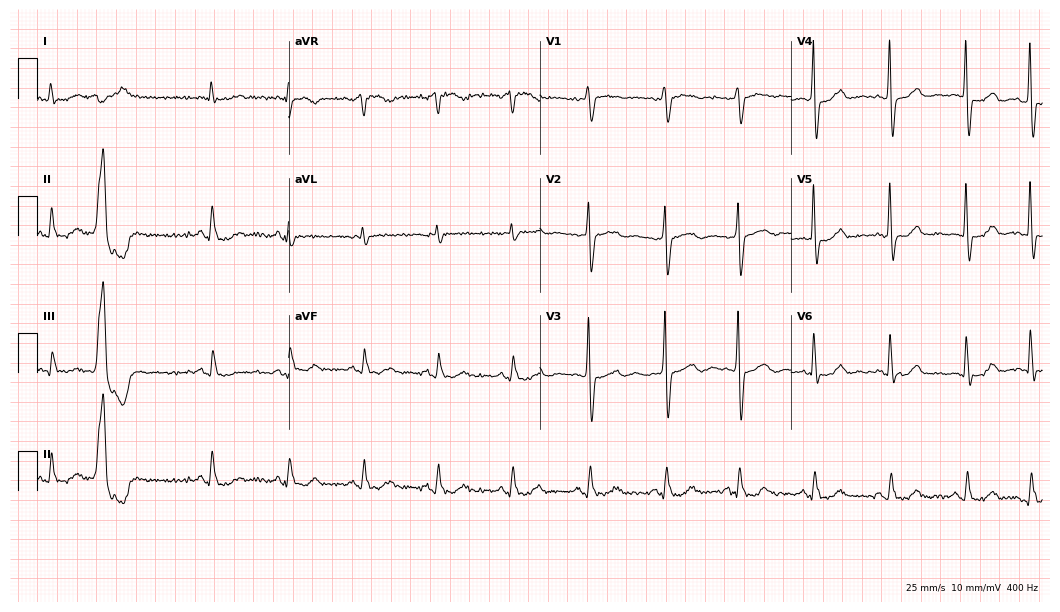
ECG — a male patient, 79 years old. Screened for six findings — first-degree AV block, right bundle branch block, left bundle branch block, sinus bradycardia, atrial fibrillation, sinus tachycardia — none is recorded. Findings outside these six are not listed.